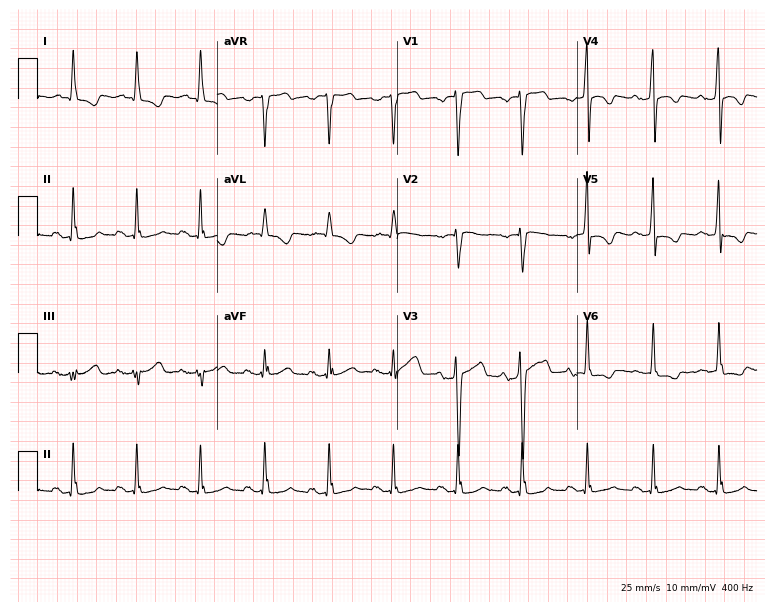
Electrocardiogram, a male, 57 years old. Of the six screened findings (first-degree AV block, right bundle branch block, left bundle branch block, sinus bradycardia, atrial fibrillation, sinus tachycardia), none is recorded.